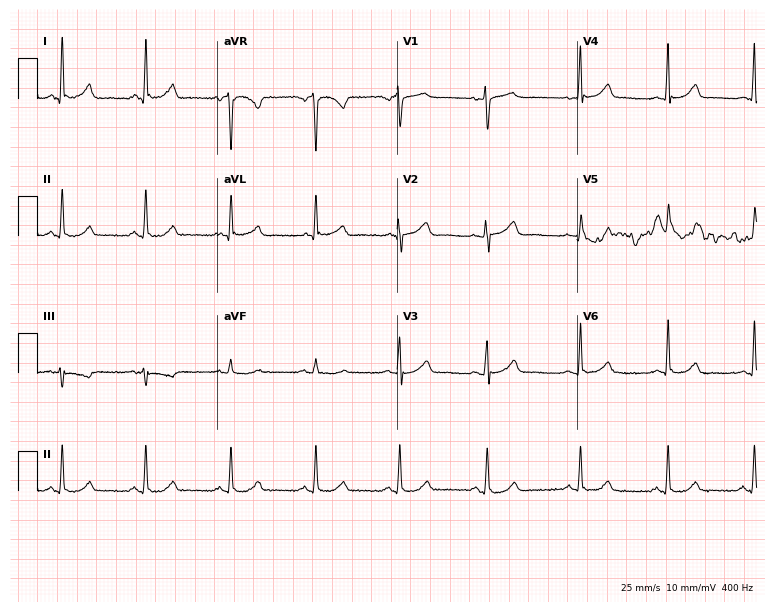
ECG — a female, 57 years old. Screened for six findings — first-degree AV block, right bundle branch block (RBBB), left bundle branch block (LBBB), sinus bradycardia, atrial fibrillation (AF), sinus tachycardia — none is recorded. Findings outside these six are not listed.